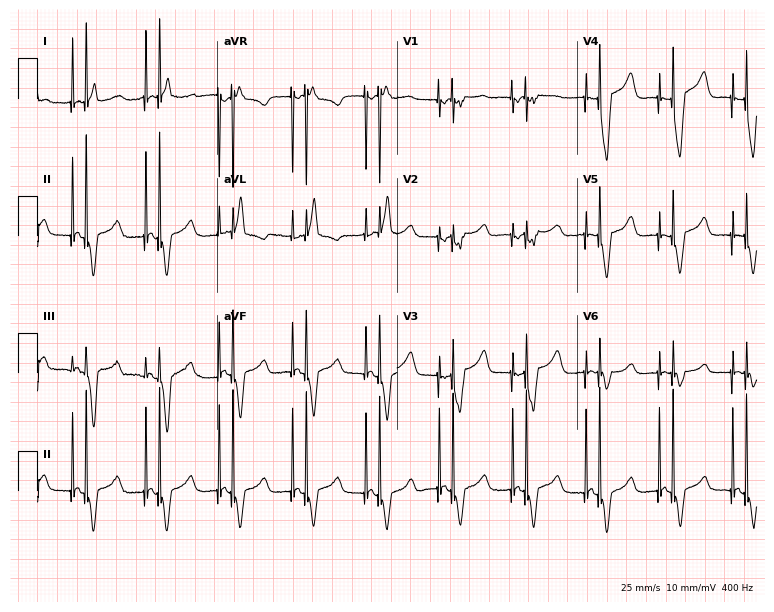
Standard 12-lead ECG recorded from a 59-year-old female patient. None of these six findings is recorded: first-degree AV block, right bundle branch block, left bundle branch block, sinus bradycardia, atrial fibrillation, sinus tachycardia.